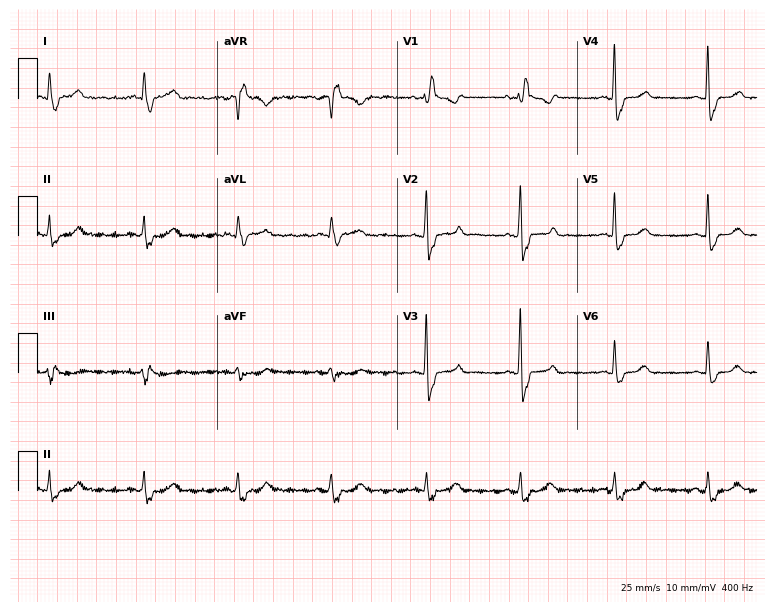
Electrocardiogram, a female, 54 years old. Interpretation includes right bundle branch block (RBBB).